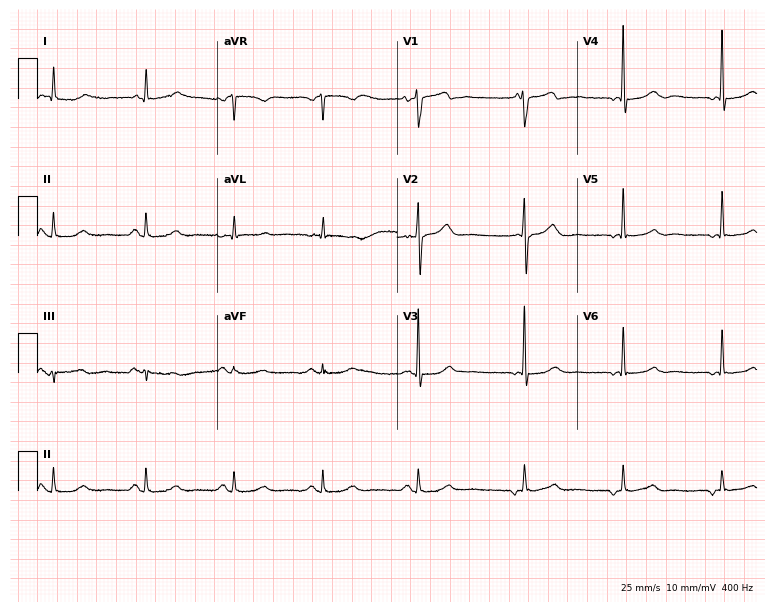
ECG (7.3-second recording at 400 Hz) — a 70-year-old male patient. Screened for six findings — first-degree AV block, right bundle branch block, left bundle branch block, sinus bradycardia, atrial fibrillation, sinus tachycardia — none is recorded.